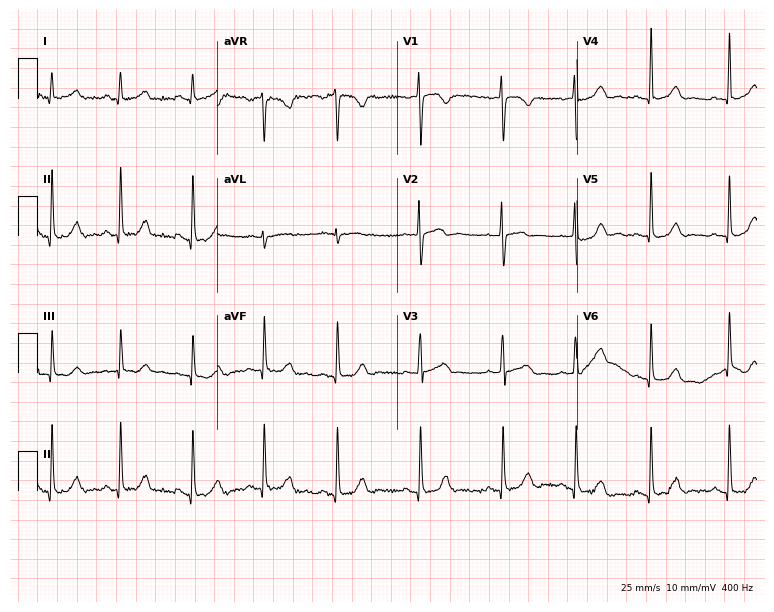
Resting 12-lead electrocardiogram. Patient: a 23-year-old female. Read as a normal ECG.